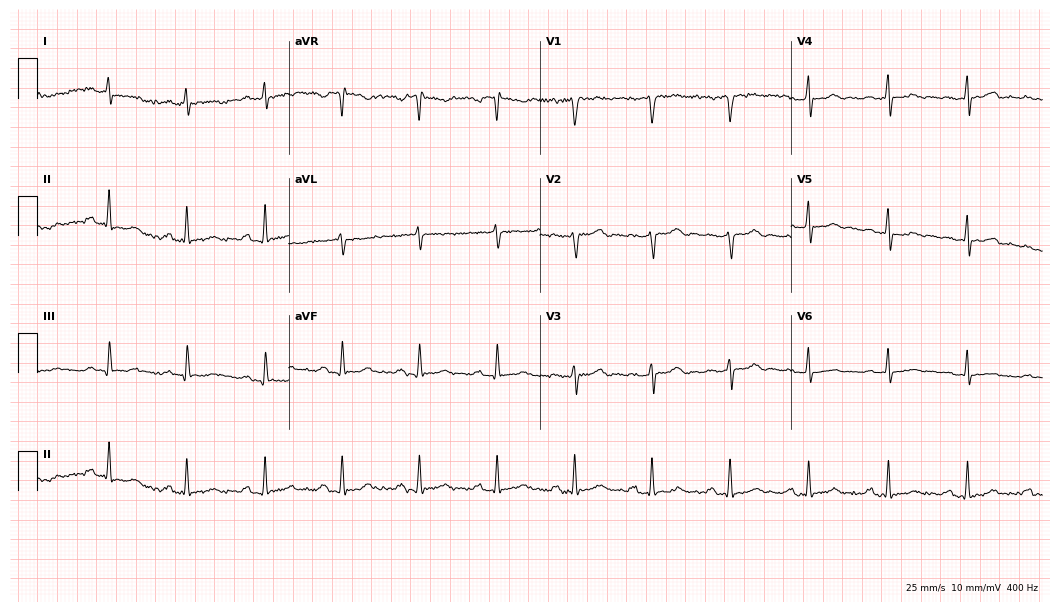
Resting 12-lead electrocardiogram (10.2-second recording at 400 Hz). Patient: a woman, 76 years old. None of these six findings is recorded: first-degree AV block, right bundle branch block (RBBB), left bundle branch block (LBBB), sinus bradycardia, atrial fibrillation (AF), sinus tachycardia. Findings outside these six are not listed.